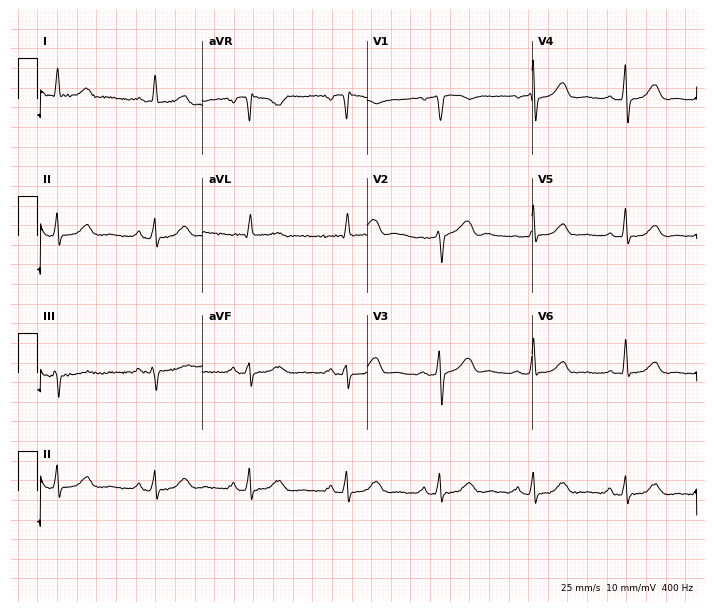
12-lead ECG from a 64-year-old female (6.7-second recording at 400 Hz). No first-degree AV block, right bundle branch block, left bundle branch block, sinus bradycardia, atrial fibrillation or sinus tachycardia recorded for this tracing. Findings outside these six are not listed.